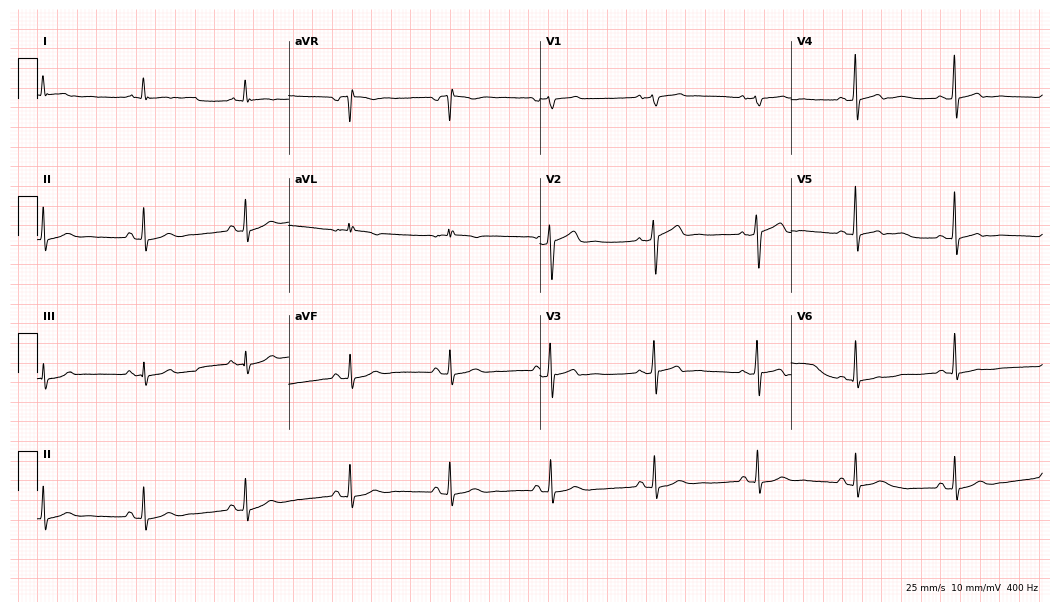
12-lead ECG from a man, 47 years old. No first-degree AV block, right bundle branch block, left bundle branch block, sinus bradycardia, atrial fibrillation or sinus tachycardia recorded for this tracing. Findings outside these six are not listed.